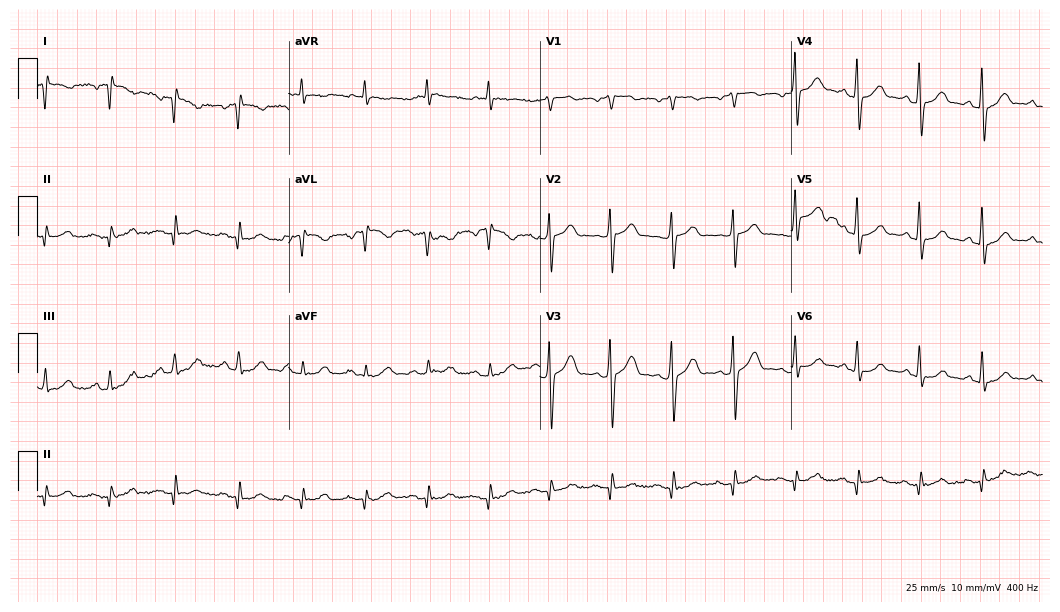
12-lead ECG from a male, 59 years old. No first-degree AV block, right bundle branch block, left bundle branch block, sinus bradycardia, atrial fibrillation or sinus tachycardia recorded for this tracing. Only these six findings were labelled.